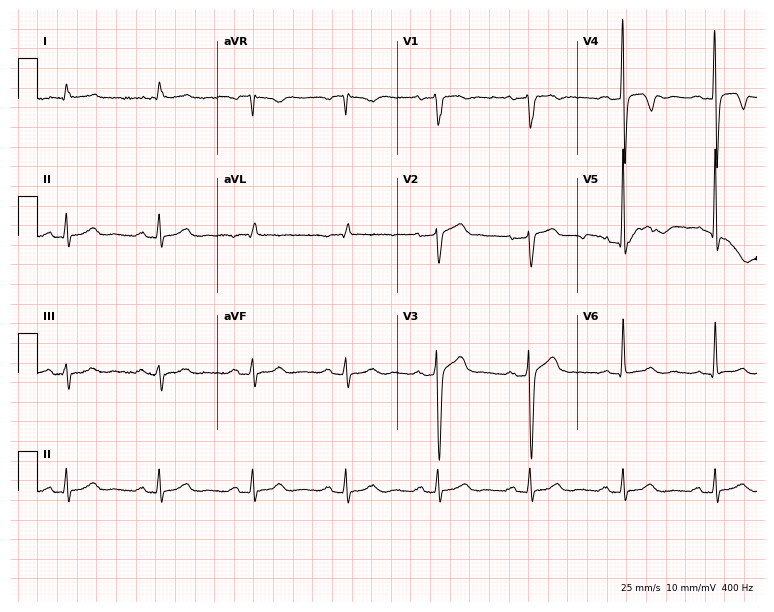
12-lead ECG (7.3-second recording at 400 Hz) from a man, 61 years old. Screened for six findings — first-degree AV block, right bundle branch block (RBBB), left bundle branch block (LBBB), sinus bradycardia, atrial fibrillation (AF), sinus tachycardia — none is recorded.